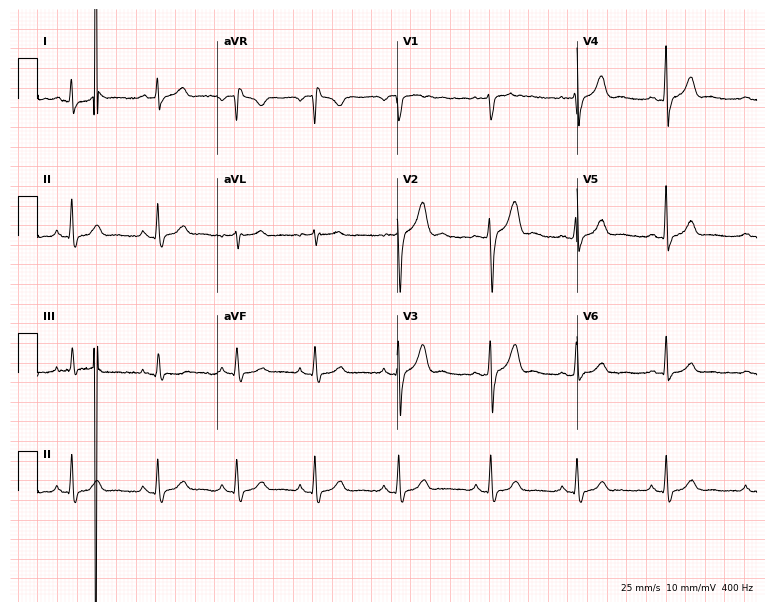
ECG (7.3-second recording at 400 Hz) — a male patient, 50 years old. Labelled as a normal ECG.